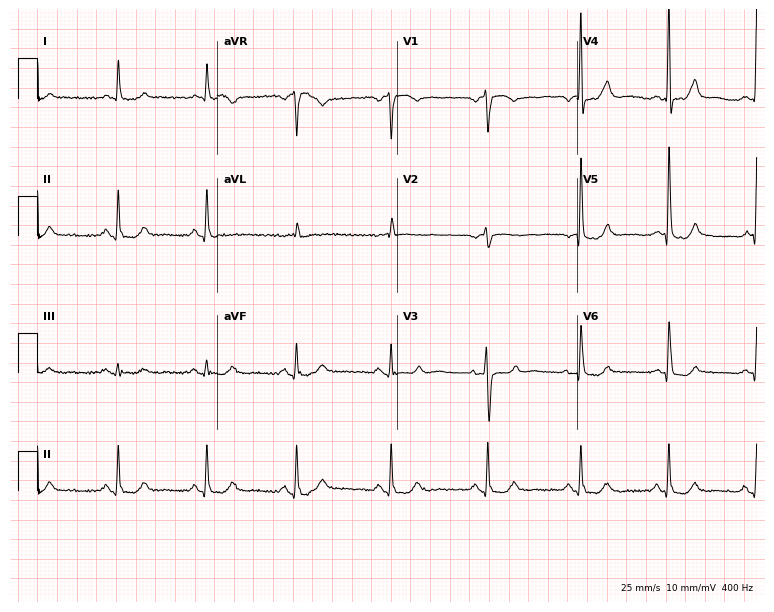
Standard 12-lead ECG recorded from a 66-year-old woman. None of these six findings is recorded: first-degree AV block, right bundle branch block, left bundle branch block, sinus bradycardia, atrial fibrillation, sinus tachycardia. Only these six findings were labelled.